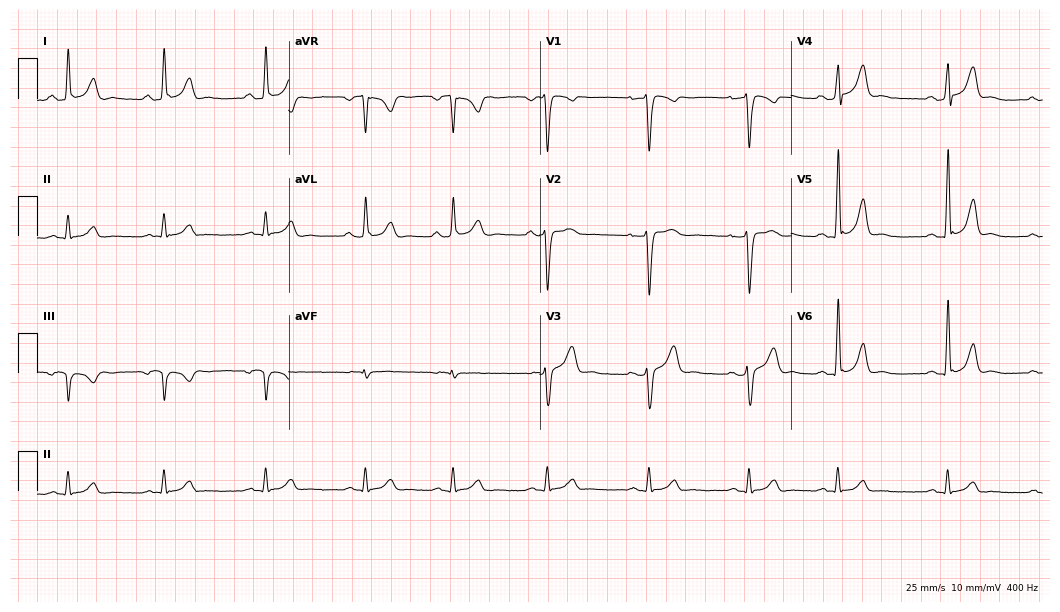
12-lead ECG from a male, 24 years old. Recorded interpretation: within normal limits.